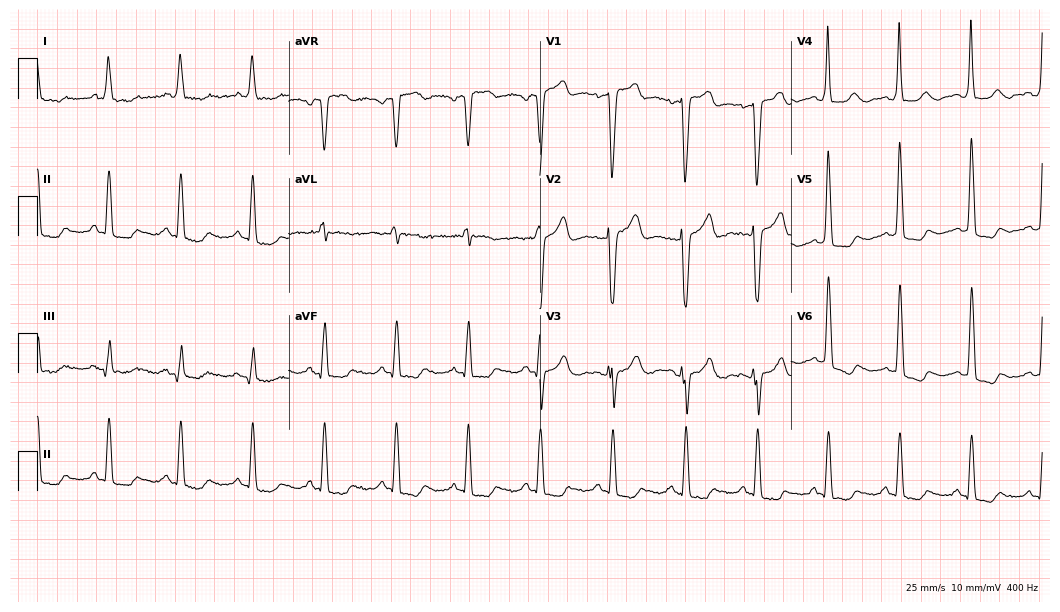
Resting 12-lead electrocardiogram. Patient: a 73-year-old male. Read as a normal ECG.